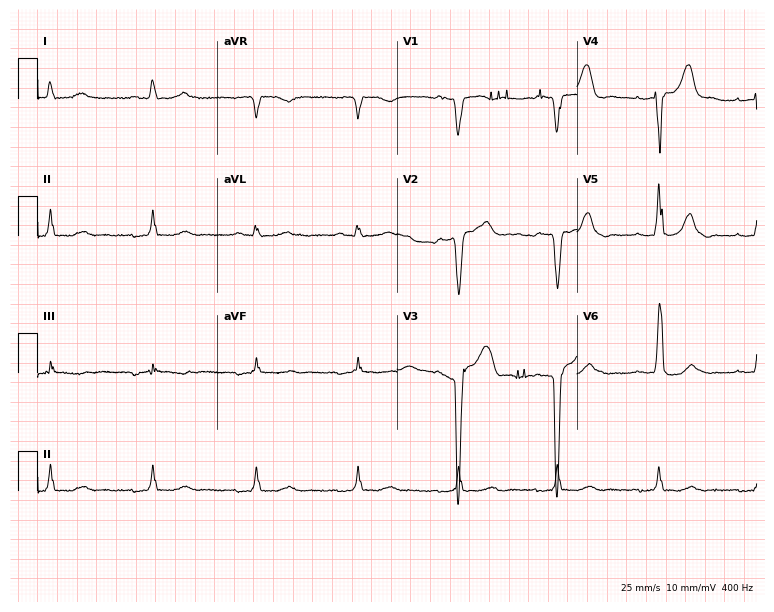
ECG — a 71-year-old male patient. Screened for six findings — first-degree AV block, right bundle branch block (RBBB), left bundle branch block (LBBB), sinus bradycardia, atrial fibrillation (AF), sinus tachycardia — none is recorded. Findings outside these six are not listed.